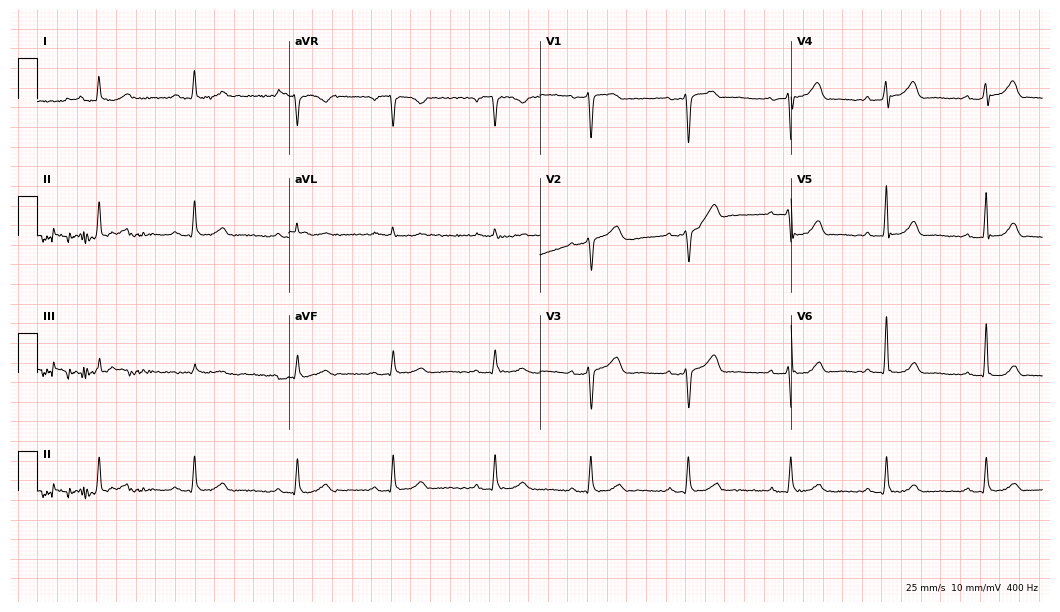
Standard 12-lead ECG recorded from a woman, 50 years old. Read as a normal ECG.